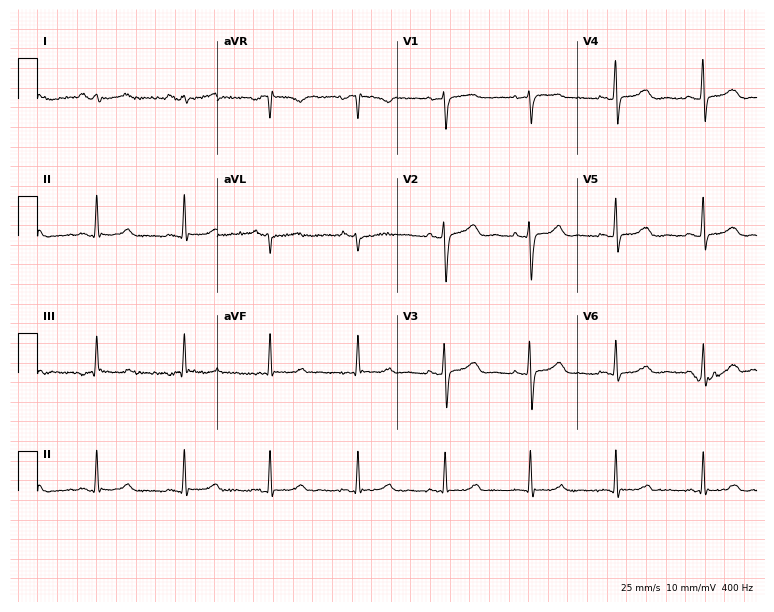
ECG (7.3-second recording at 400 Hz) — a 55-year-old female. Labelled as a normal ECG.